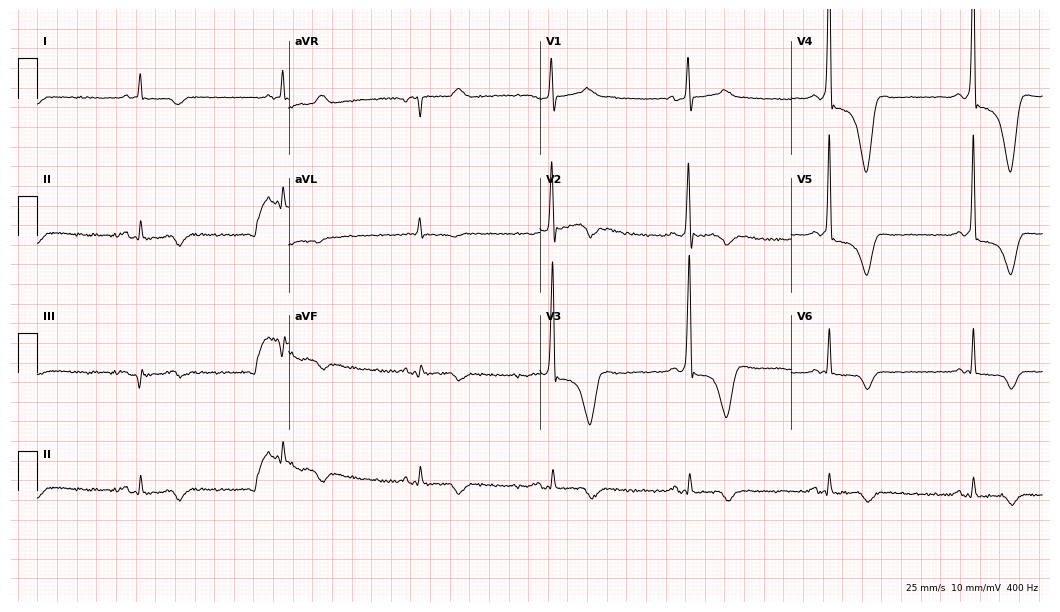
Electrocardiogram (10.2-second recording at 400 Hz), a 57-year-old man. Of the six screened findings (first-degree AV block, right bundle branch block (RBBB), left bundle branch block (LBBB), sinus bradycardia, atrial fibrillation (AF), sinus tachycardia), none is recorded.